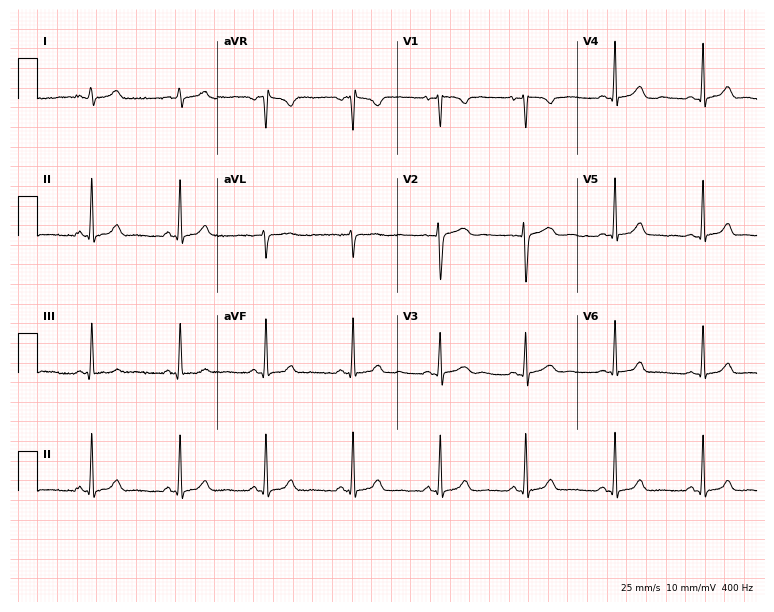
12-lead ECG from a female patient, 25 years old. Labelled as a normal ECG.